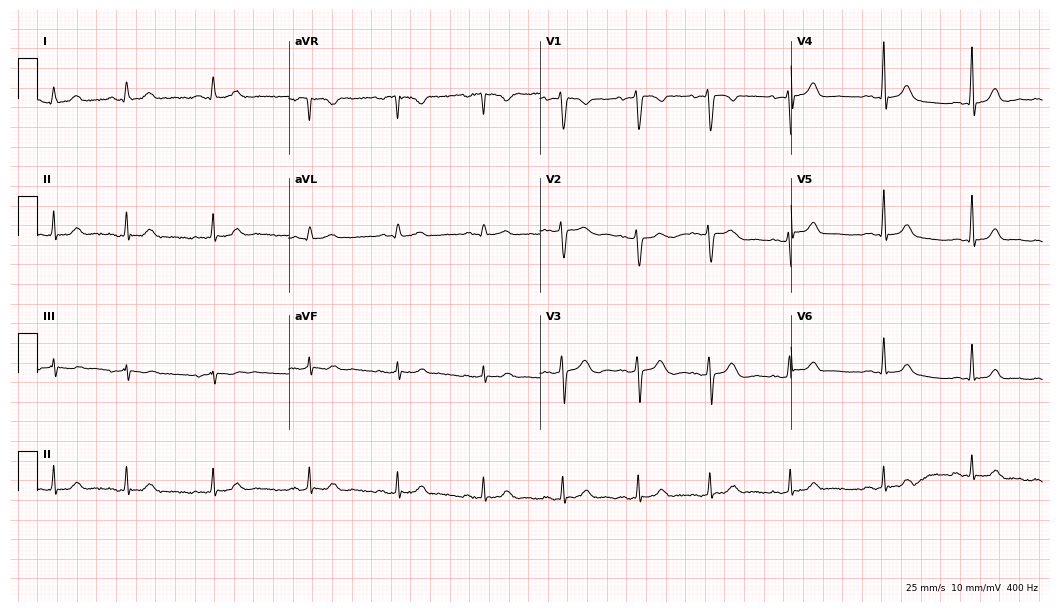
Electrocardiogram (10.2-second recording at 400 Hz), a 24-year-old female. Of the six screened findings (first-degree AV block, right bundle branch block (RBBB), left bundle branch block (LBBB), sinus bradycardia, atrial fibrillation (AF), sinus tachycardia), none is recorded. Only these six findings were labelled.